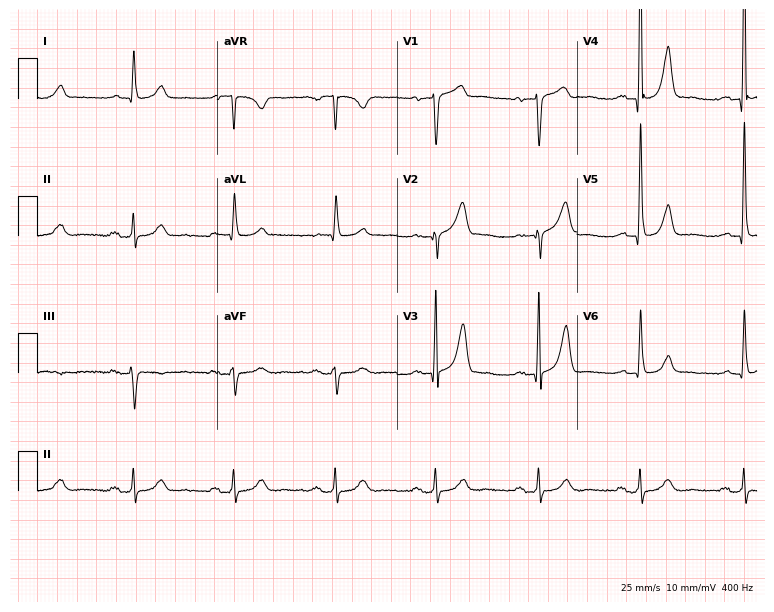
Resting 12-lead electrocardiogram. Patient: a man, 77 years old. Read as a normal ECG.